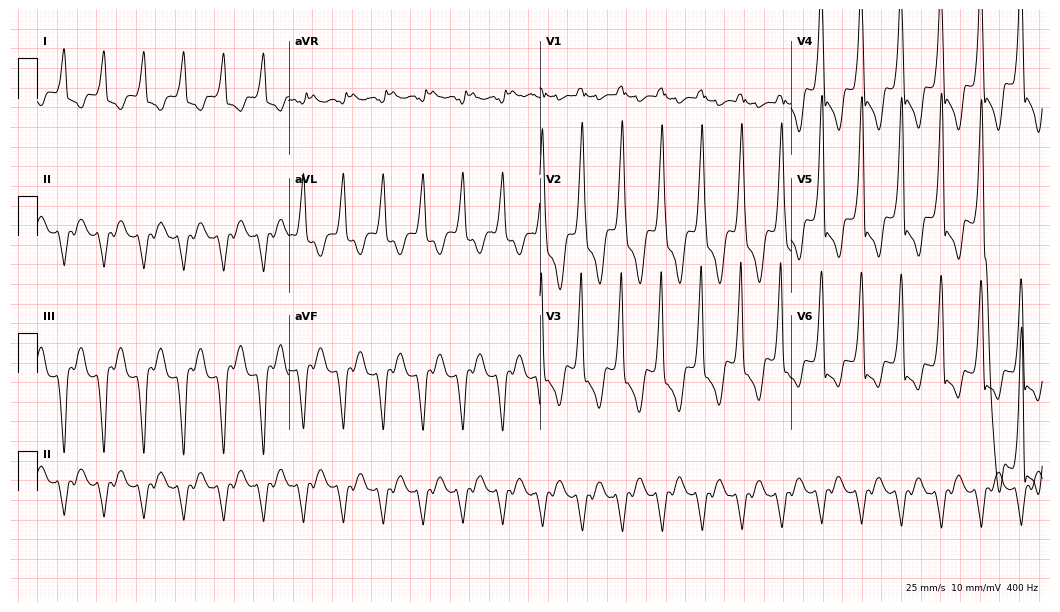
12-lead ECG from a 56-year-old female. Shows sinus tachycardia (a sinus rate of 100 beats per minute or more).